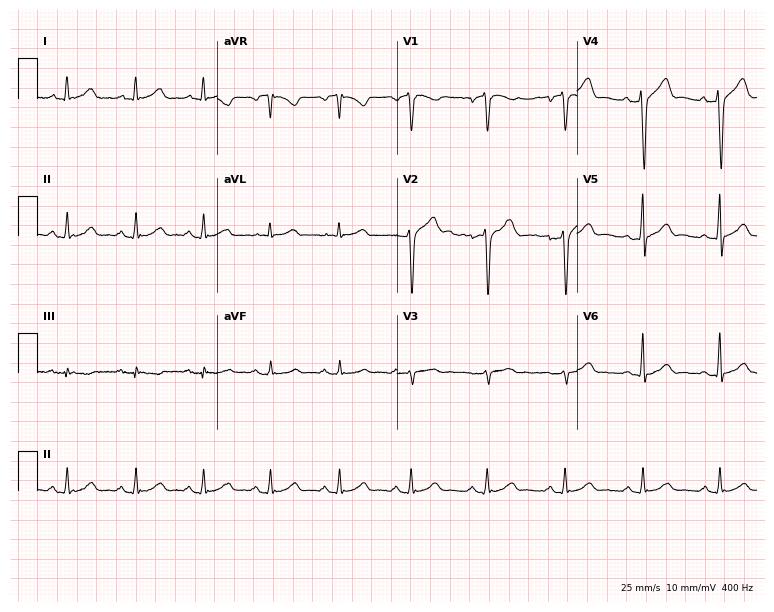
Electrocardiogram (7.3-second recording at 400 Hz), a male, 57 years old. Of the six screened findings (first-degree AV block, right bundle branch block (RBBB), left bundle branch block (LBBB), sinus bradycardia, atrial fibrillation (AF), sinus tachycardia), none is recorded.